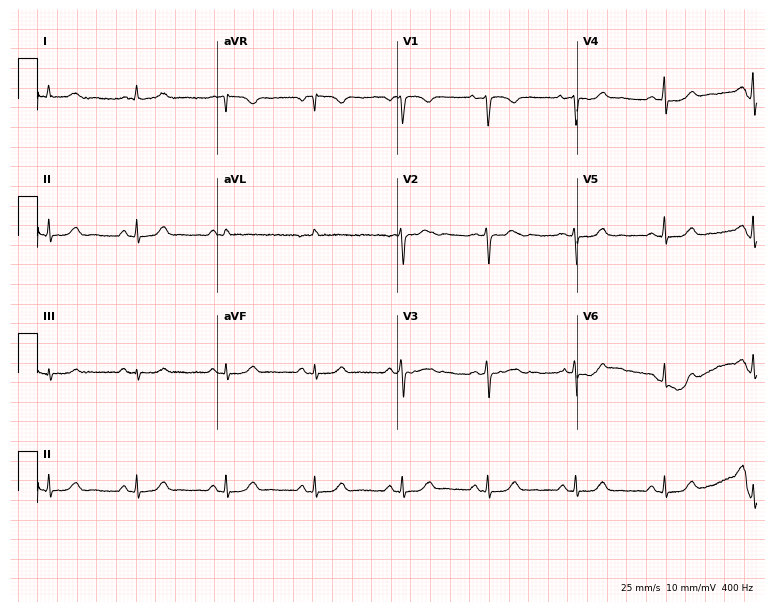
Standard 12-lead ECG recorded from a 46-year-old woman. None of these six findings is recorded: first-degree AV block, right bundle branch block (RBBB), left bundle branch block (LBBB), sinus bradycardia, atrial fibrillation (AF), sinus tachycardia. Only these six findings were labelled.